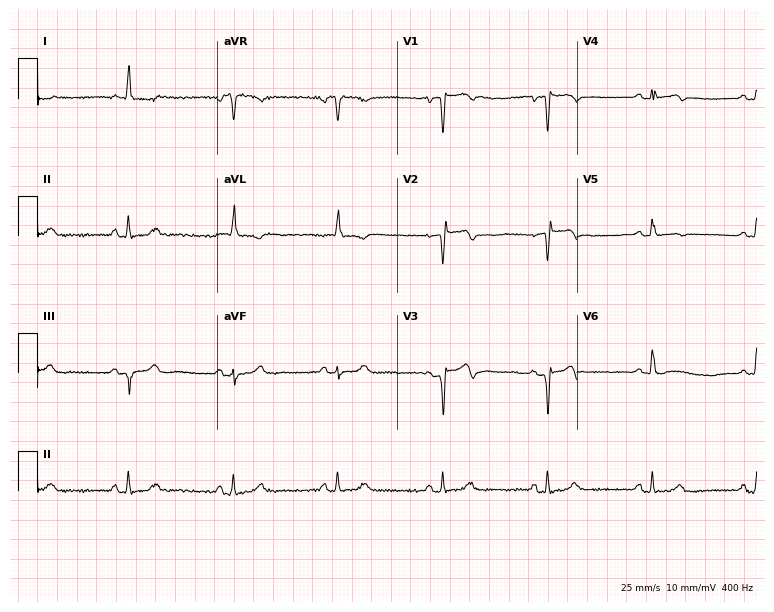
ECG (7.3-second recording at 400 Hz) — a 79-year-old female patient. Screened for six findings — first-degree AV block, right bundle branch block, left bundle branch block, sinus bradycardia, atrial fibrillation, sinus tachycardia — none is recorded.